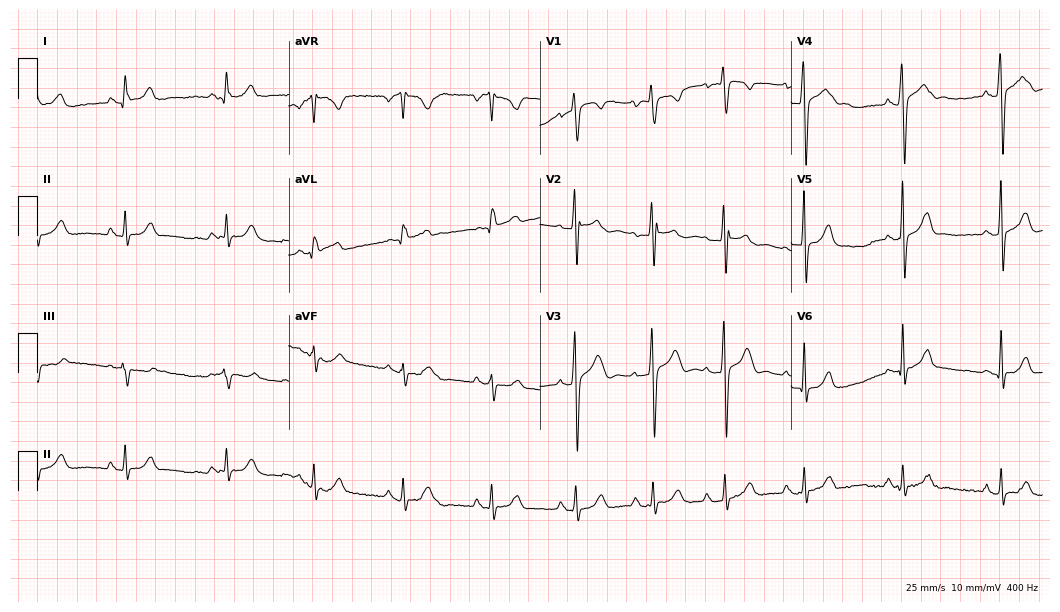
12-lead ECG from a man, 19 years old. Recorded interpretation: within normal limits.